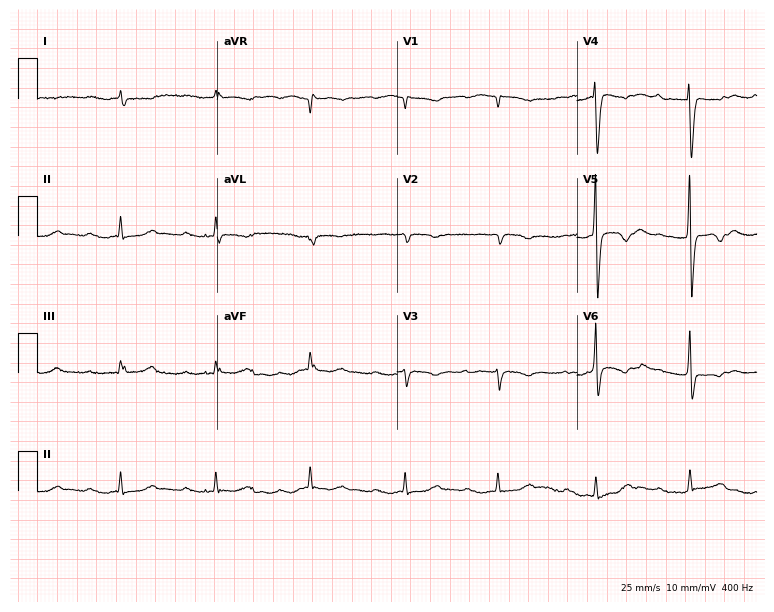
12-lead ECG from an 84-year-old woman (7.3-second recording at 400 Hz). Shows first-degree AV block.